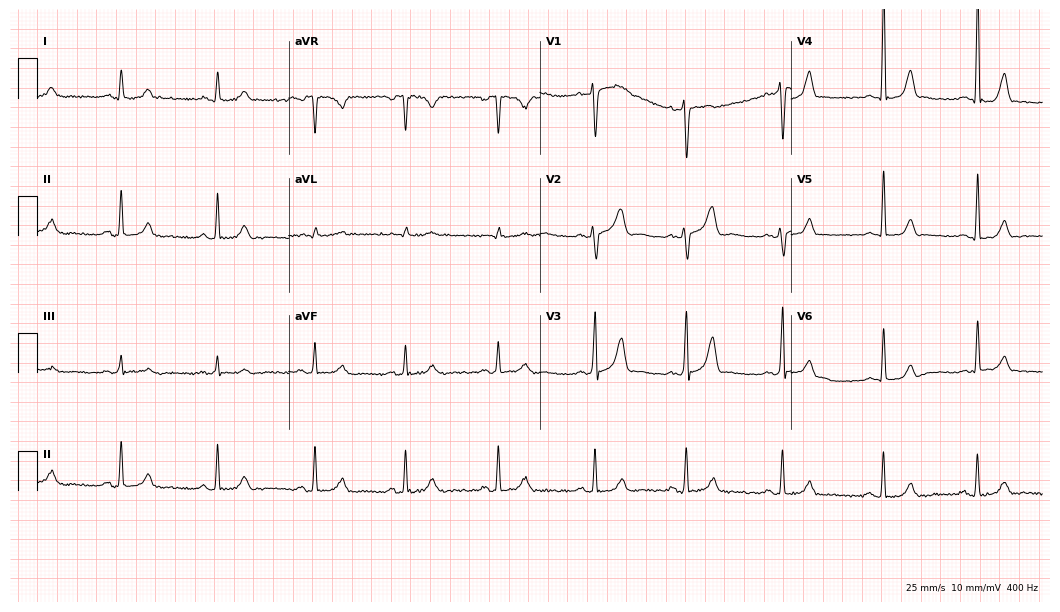
12-lead ECG from a 33-year-old female patient. No first-degree AV block, right bundle branch block, left bundle branch block, sinus bradycardia, atrial fibrillation or sinus tachycardia recorded for this tracing. Other findings, if any, are not listed.